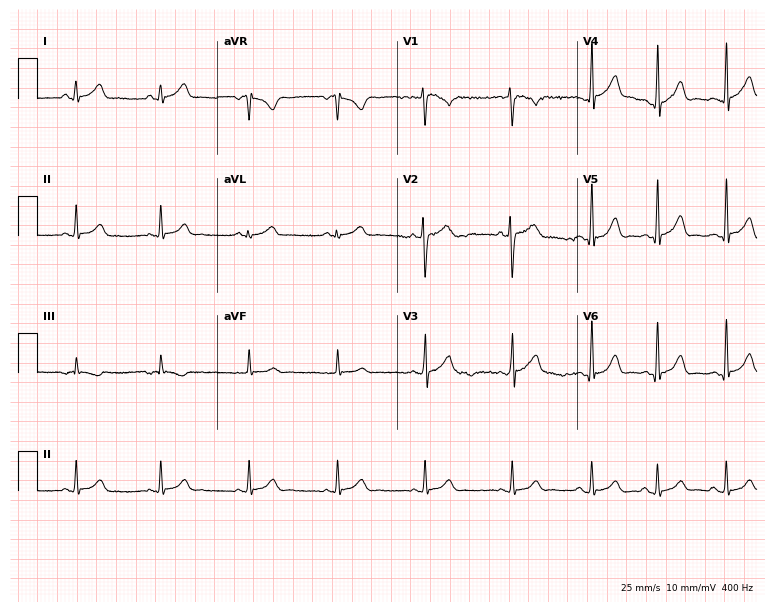
Electrocardiogram (7.3-second recording at 400 Hz), a male patient, 19 years old. Overall reading on record: normal ECG.